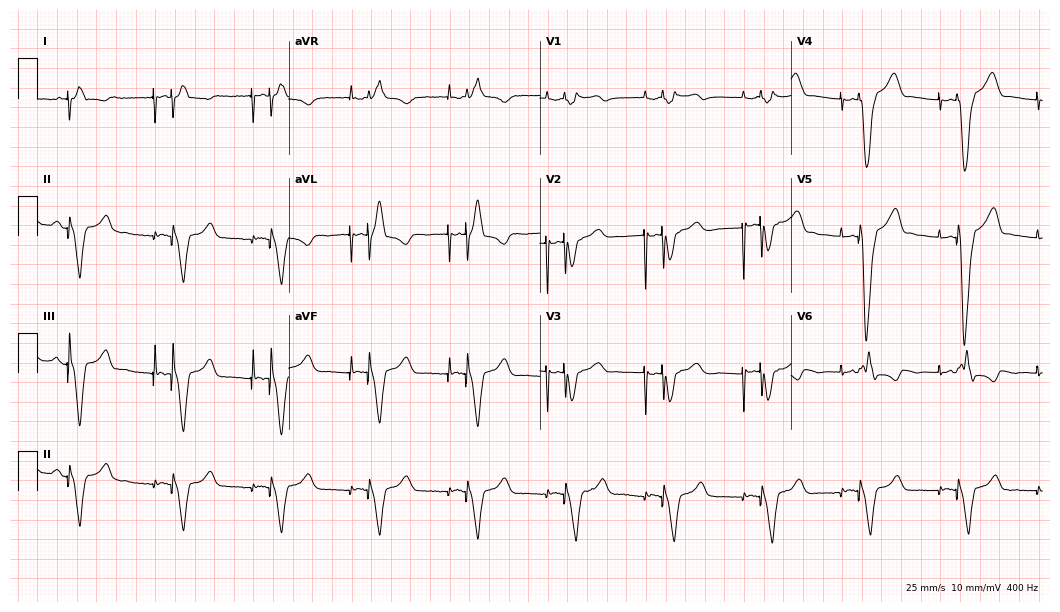
12-lead ECG from an 82-year-old male (10.2-second recording at 400 Hz). No first-degree AV block, right bundle branch block, left bundle branch block, sinus bradycardia, atrial fibrillation or sinus tachycardia recorded for this tracing. Other findings, if any, are not listed.